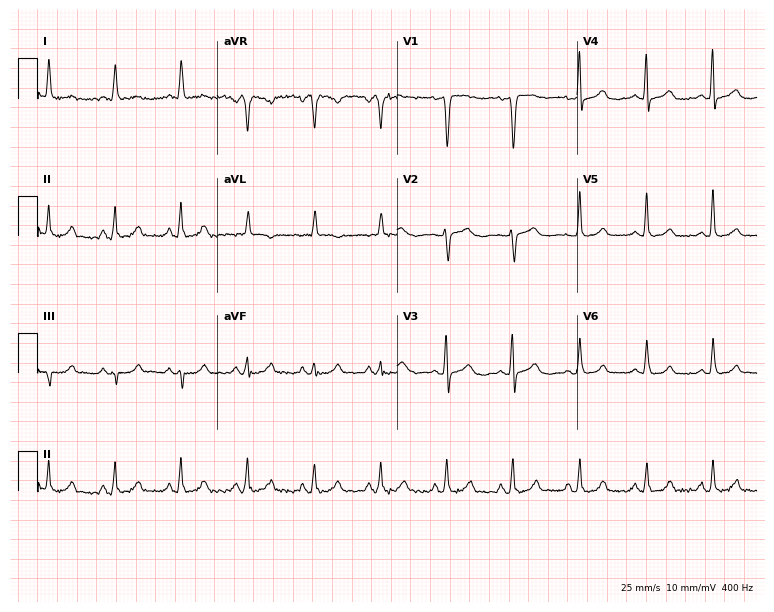
Resting 12-lead electrocardiogram. Patient: a female, 68 years old. None of these six findings is recorded: first-degree AV block, right bundle branch block (RBBB), left bundle branch block (LBBB), sinus bradycardia, atrial fibrillation (AF), sinus tachycardia.